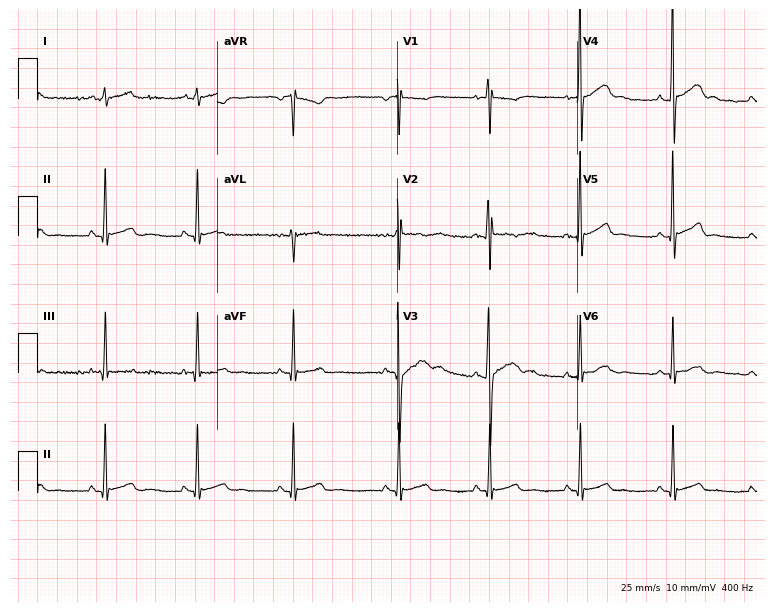
12-lead ECG from an 18-year-old male patient. Screened for six findings — first-degree AV block, right bundle branch block, left bundle branch block, sinus bradycardia, atrial fibrillation, sinus tachycardia — none is recorded. Findings outside these six are not listed.